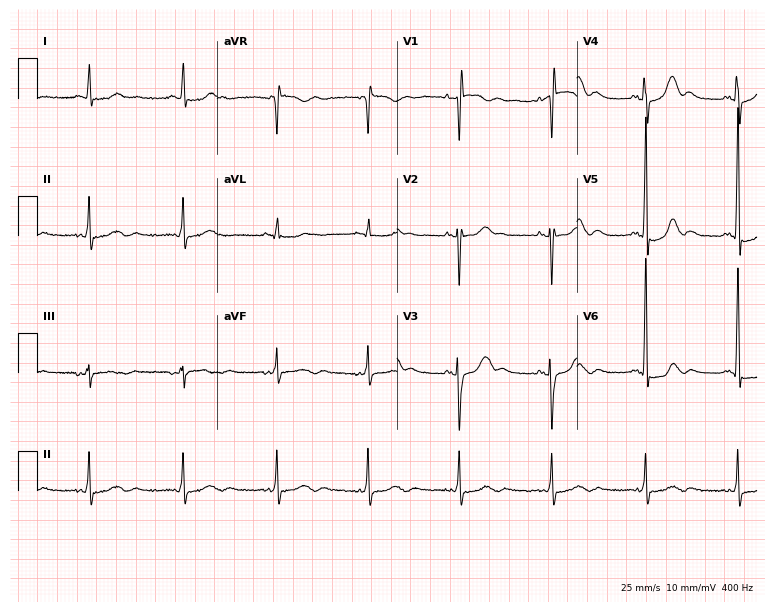
ECG (7.3-second recording at 400 Hz) — a 71-year-old female. Screened for six findings — first-degree AV block, right bundle branch block, left bundle branch block, sinus bradycardia, atrial fibrillation, sinus tachycardia — none is recorded. Other findings, if any, are not listed.